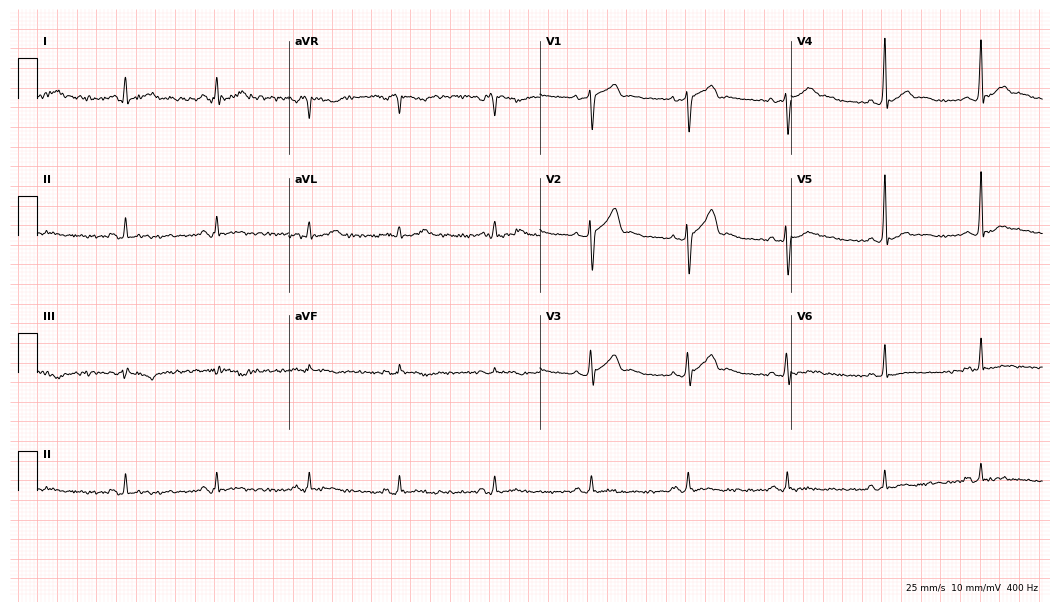
Electrocardiogram (10.2-second recording at 400 Hz), a male patient, 29 years old. Of the six screened findings (first-degree AV block, right bundle branch block, left bundle branch block, sinus bradycardia, atrial fibrillation, sinus tachycardia), none is recorded.